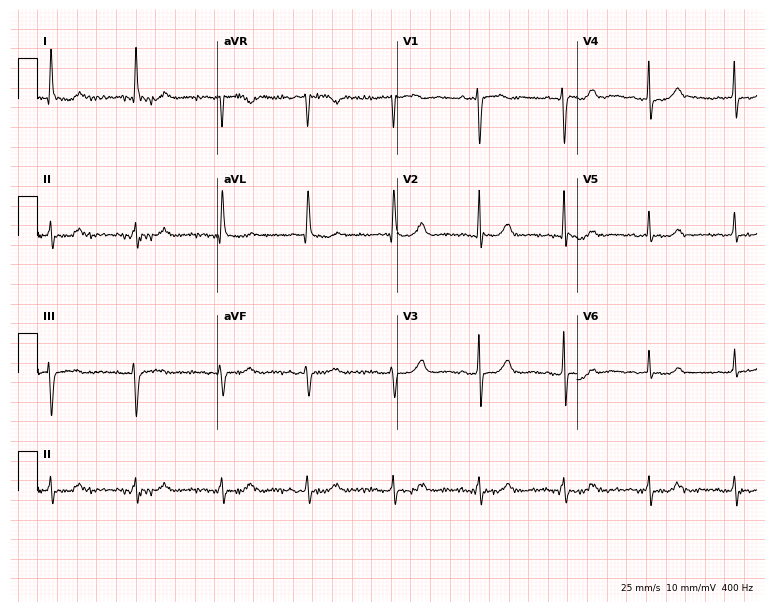
ECG — a woman, 79 years old. Labelled as a normal ECG.